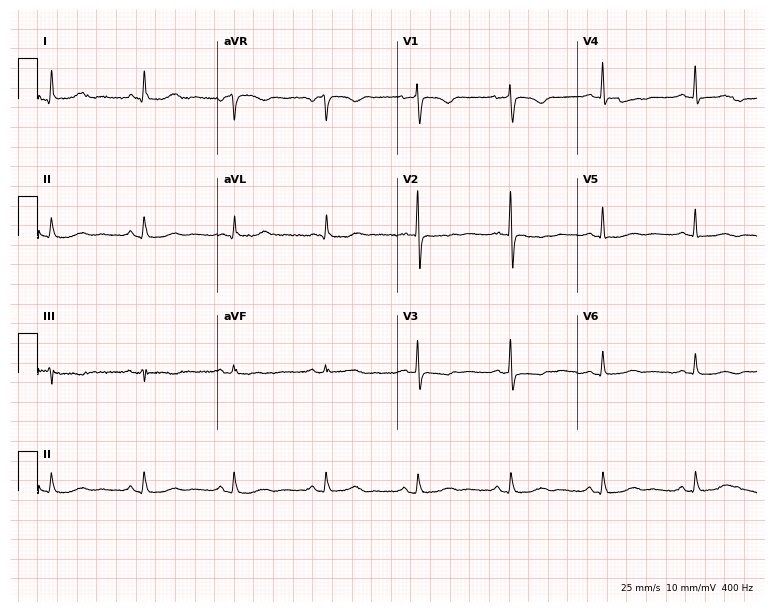
12-lead ECG from a 72-year-old woman (7.3-second recording at 400 Hz). No first-degree AV block, right bundle branch block, left bundle branch block, sinus bradycardia, atrial fibrillation or sinus tachycardia recorded for this tracing.